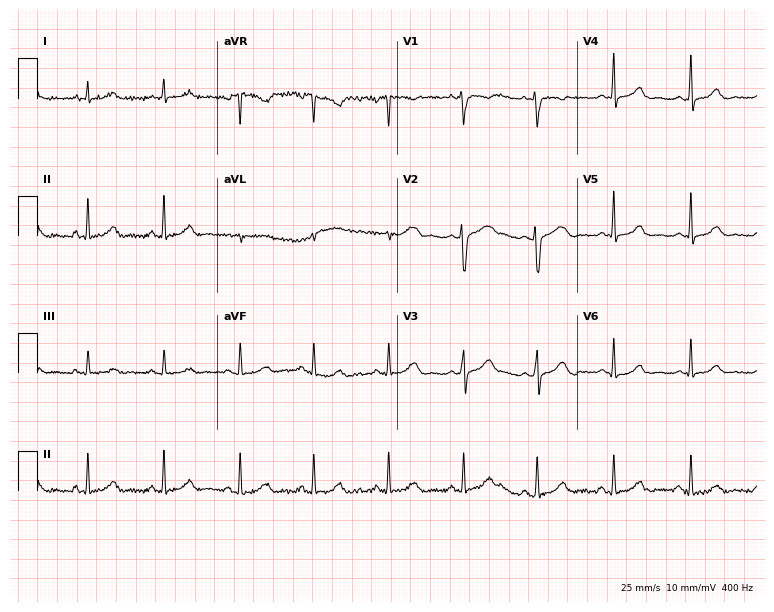
Standard 12-lead ECG recorded from a female, 29 years old (7.3-second recording at 400 Hz). Read as a normal ECG.